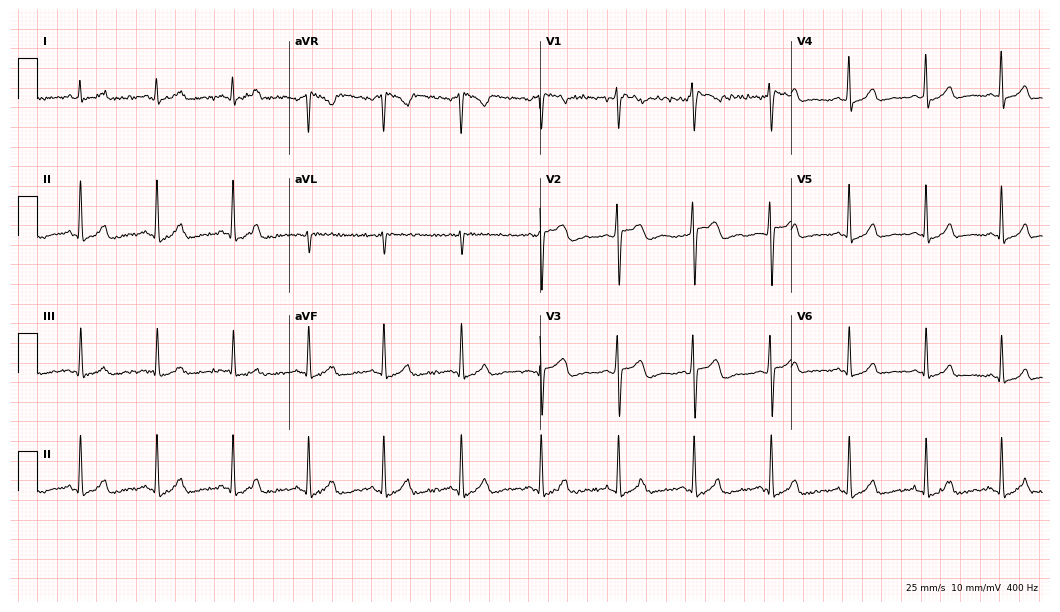
ECG (10.2-second recording at 400 Hz) — a 42-year-old woman. Labelled as a normal ECG.